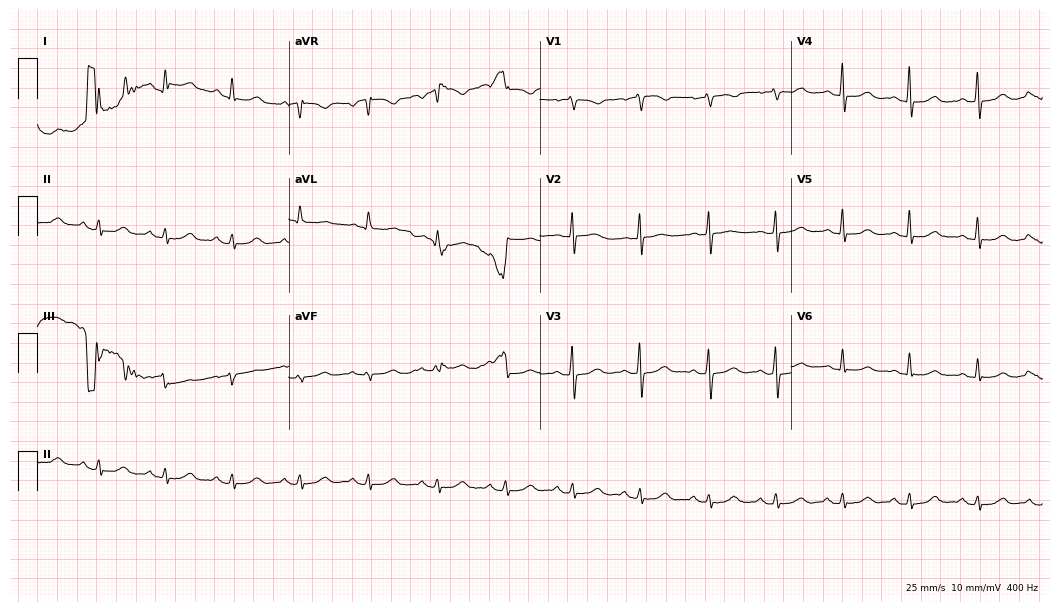
Standard 12-lead ECG recorded from a 64-year-old woman. Read as a normal ECG.